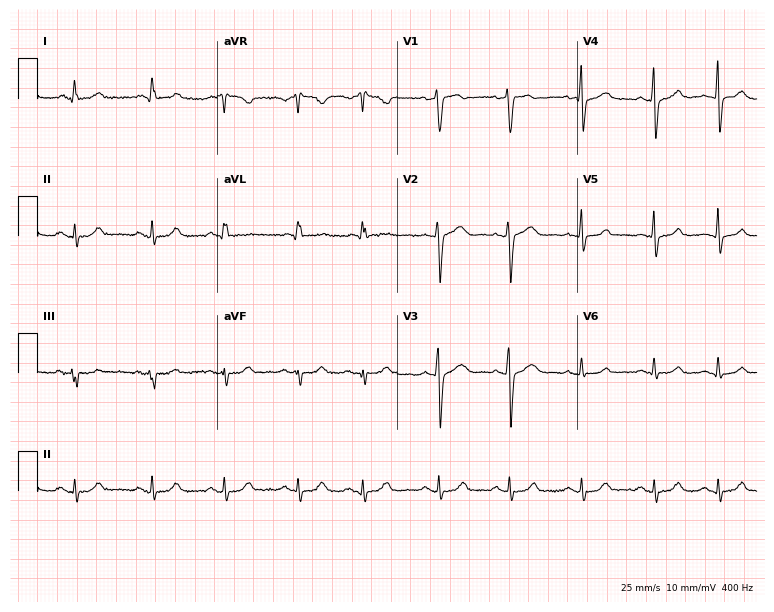
12-lead ECG from a 55-year-old female patient. Screened for six findings — first-degree AV block, right bundle branch block, left bundle branch block, sinus bradycardia, atrial fibrillation, sinus tachycardia — none is recorded.